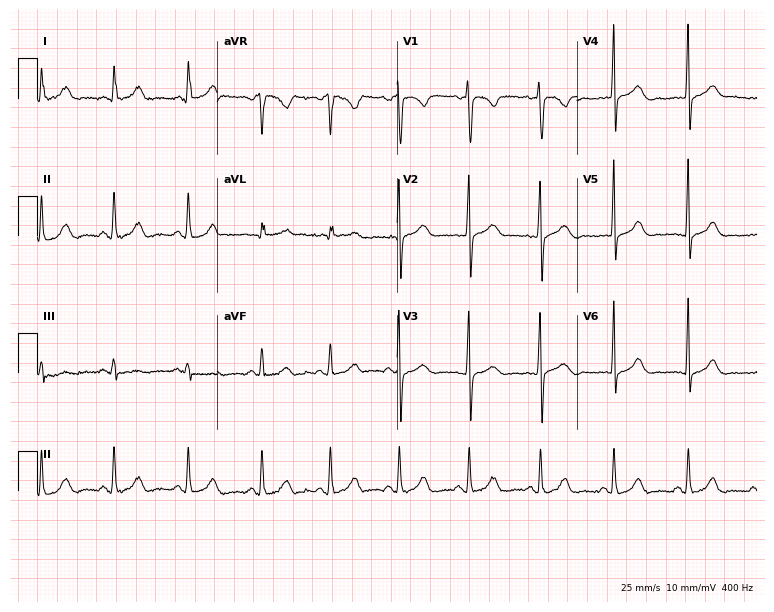
Standard 12-lead ECG recorded from a 34-year-old woman (7.3-second recording at 400 Hz). Read as a normal ECG.